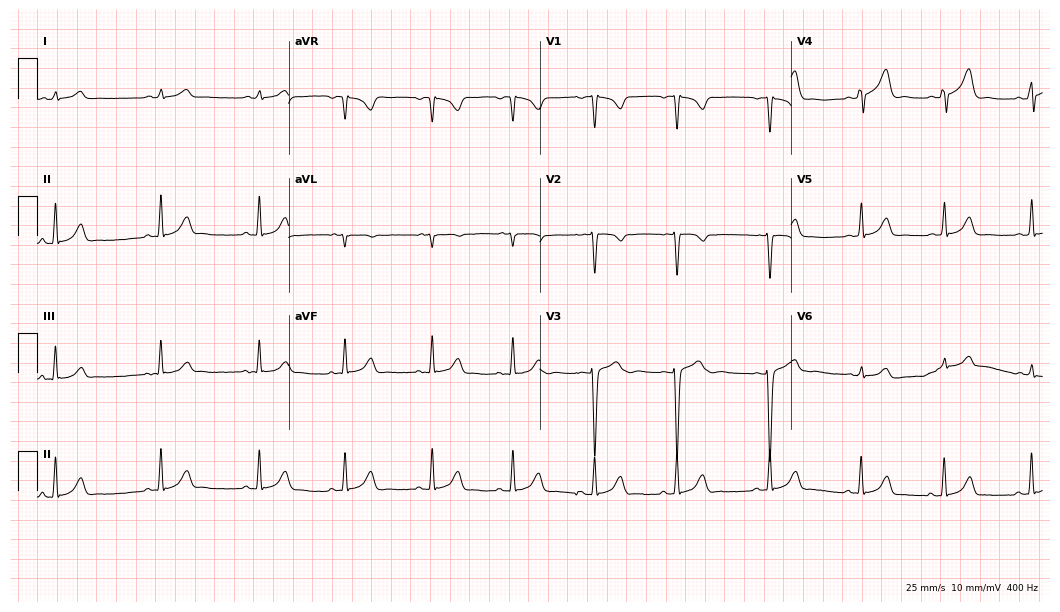
12-lead ECG (10.2-second recording at 400 Hz) from a man, 26 years old. Labelled as a normal ECG.